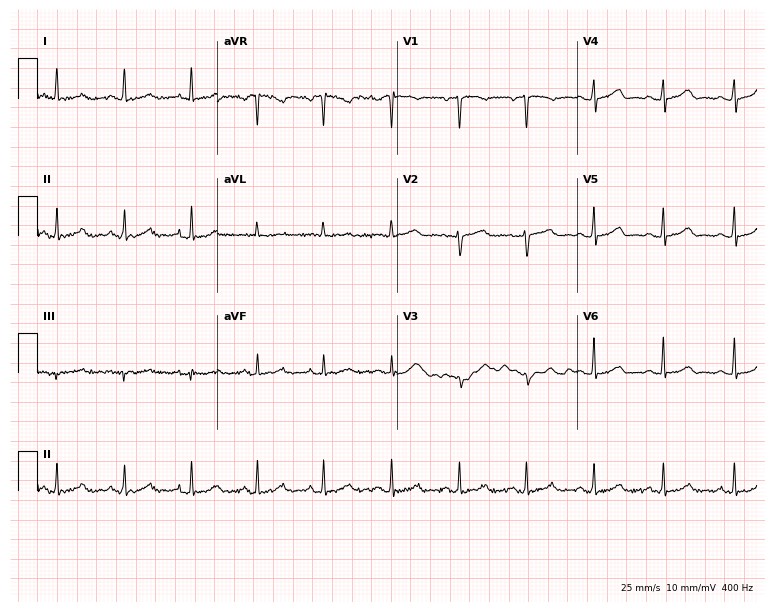
Resting 12-lead electrocardiogram. Patient: a female, 47 years old. Read as a normal ECG.